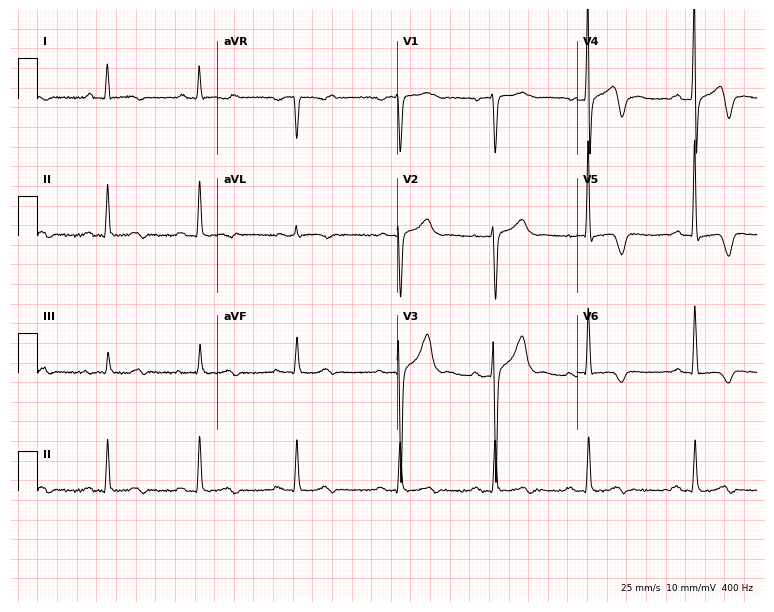
ECG (7.3-second recording at 400 Hz) — a male, 60 years old. Screened for six findings — first-degree AV block, right bundle branch block, left bundle branch block, sinus bradycardia, atrial fibrillation, sinus tachycardia — none is recorded. Findings outside these six are not listed.